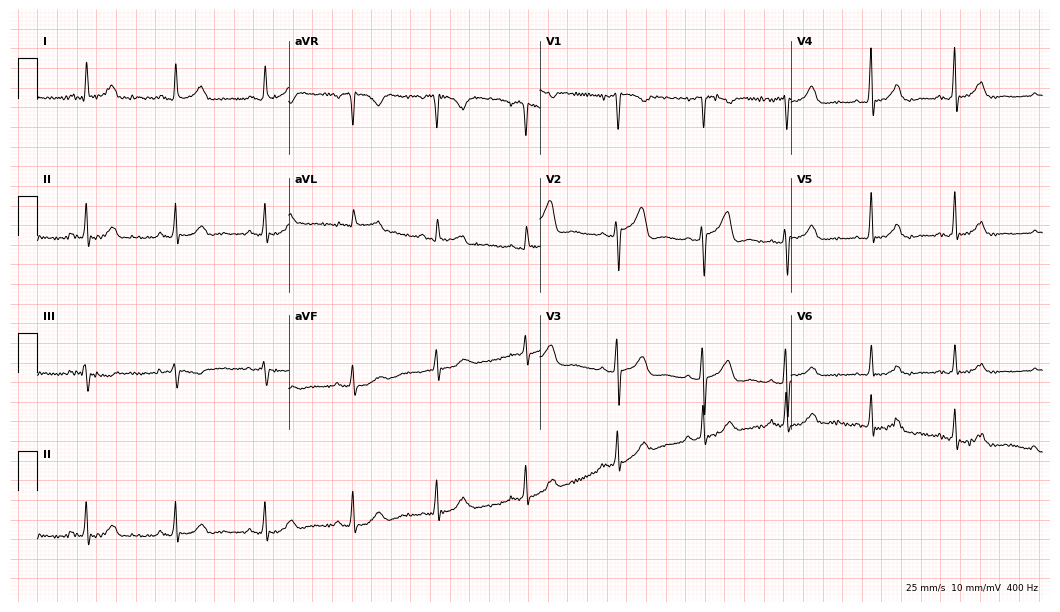
12-lead ECG from a 74-year-old female patient (10.2-second recording at 400 Hz). Recorded interpretation: within normal limits.